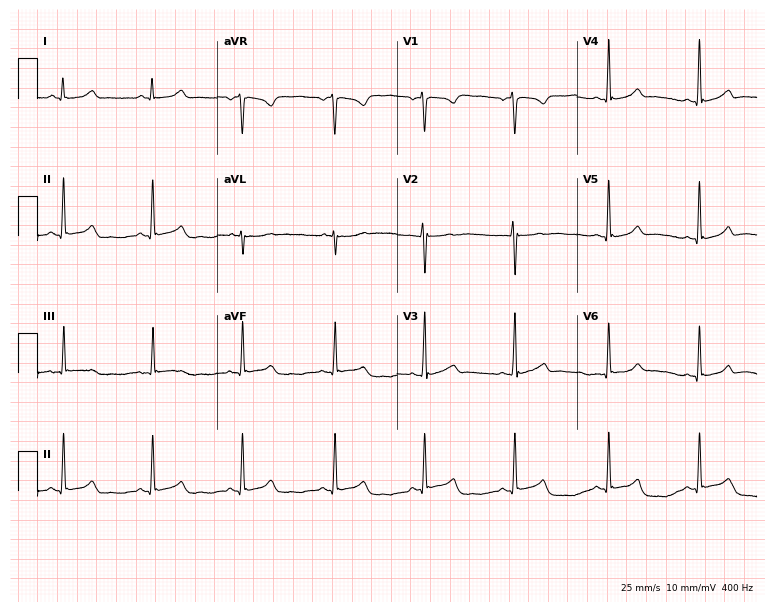
Standard 12-lead ECG recorded from a 35-year-old female (7.3-second recording at 400 Hz). Read as a normal ECG.